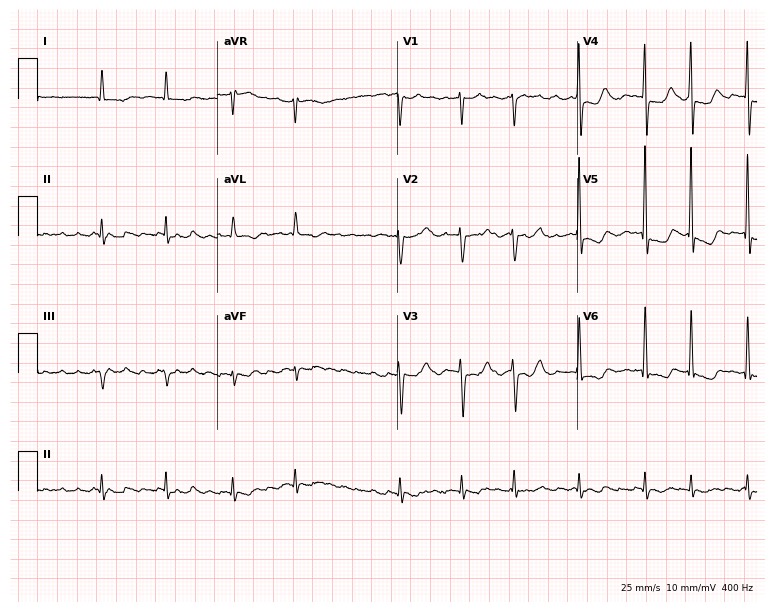
Electrocardiogram, a 72-year-old male patient. Interpretation includes atrial fibrillation.